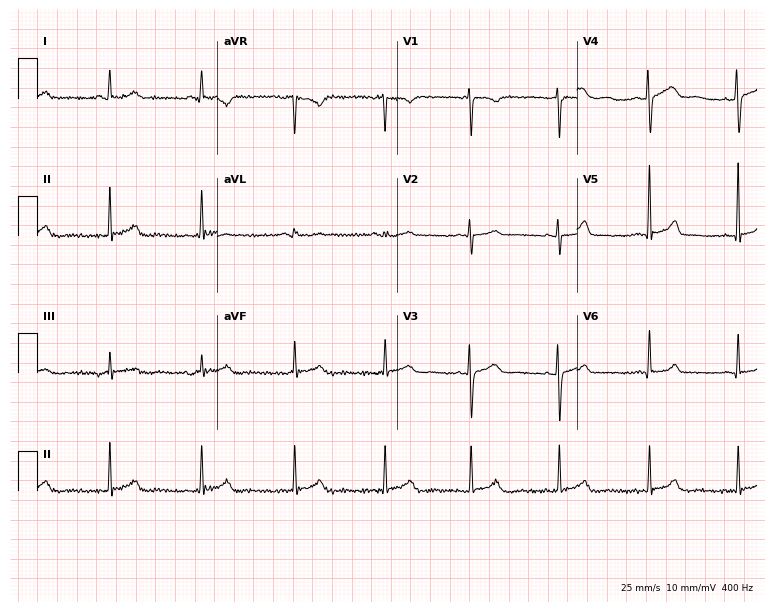
ECG (7.3-second recording at 400 Hz) — a 33-year-old female. Screened for six findings — first-degree AV block, right bundle branch block, left bundle branch block, sinus bradycardia, atrial fibrillation, sinus tachycardia — none is recorded. Only these six findings were labelled.